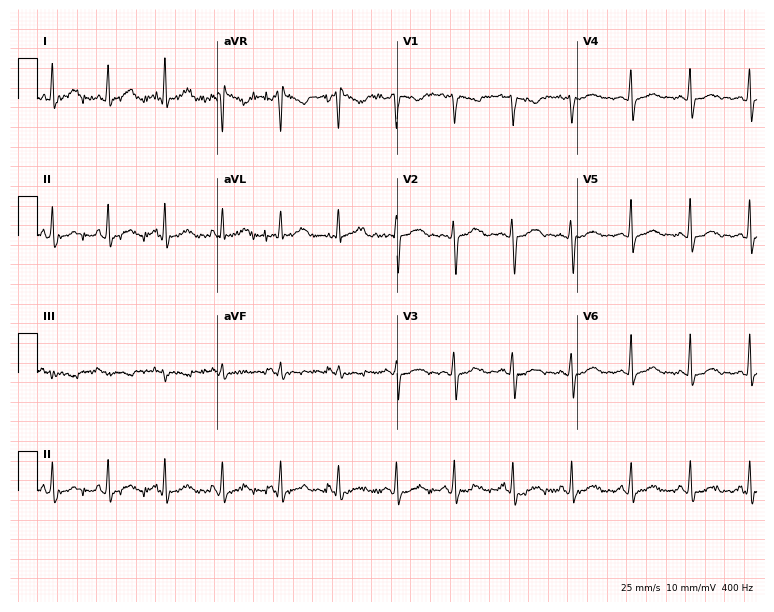
12-lead ECG (7.3-second recording at 400 Hz) from a 32-year-old woman. Findings include sinus tachycardia (a sinus rate of 100 beats per minute or more).